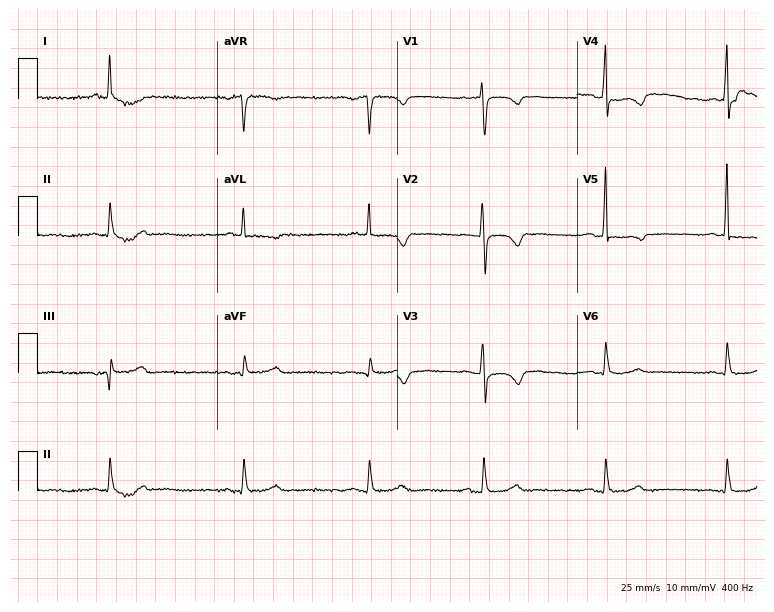
Standard 12-lead ECG recorded from a 72-year-old female patient (7.3-second recording at 400 Hz). The tracing shows sinus bradycardia (a sinus rate of 50 beats per minute or less).